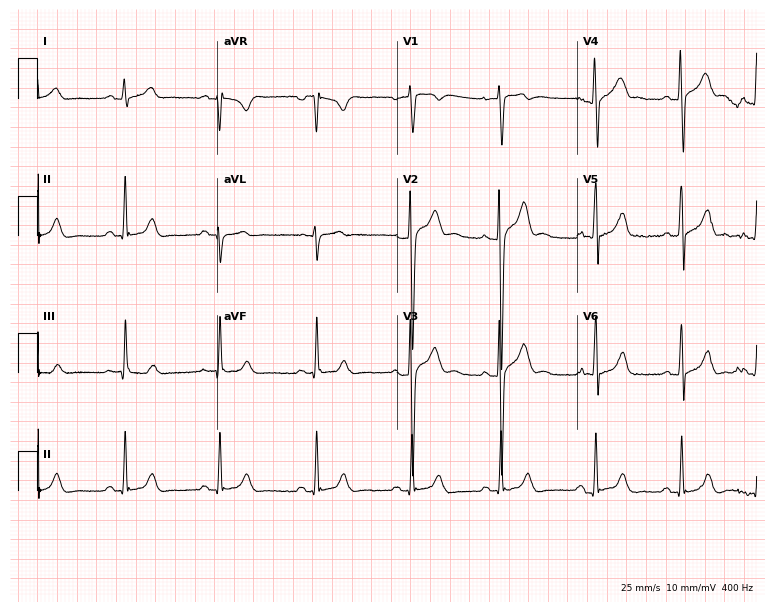
ECG (7.3-second recording at 400 Hz) — a male patient, 20 years old. Screened for six findings — first-degree AV block, right bundle branch block, left bundle branch block, sinus bradycardia, atrial fibrillation, sinus tachycardia — none is recorded.